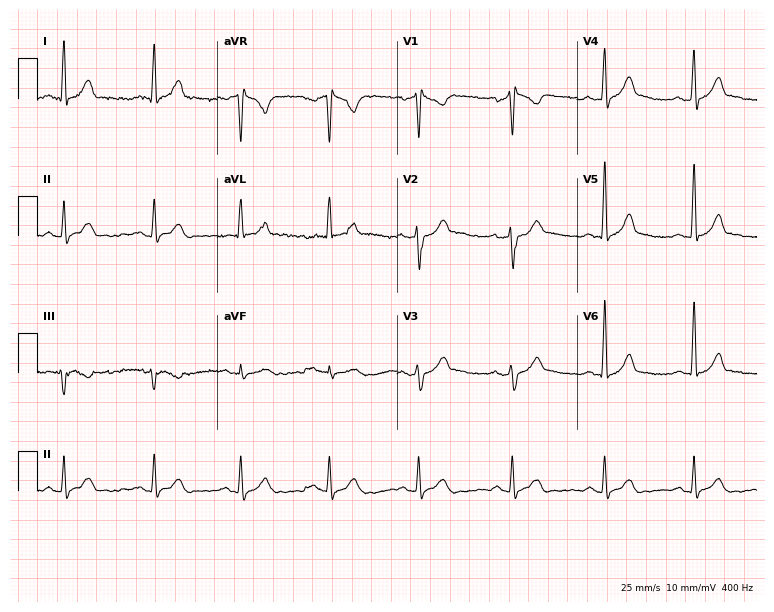
12-lead ECG (7.3-second recording at 400 Hz) from a 51-year-old man. Screened for six findings — first-degree AV block, right bundle branch block, left bundle branch block, sinus bradycardia, atrial fibrillation, sinus tachycardia — none is recorded. Only these six findings were labelled.